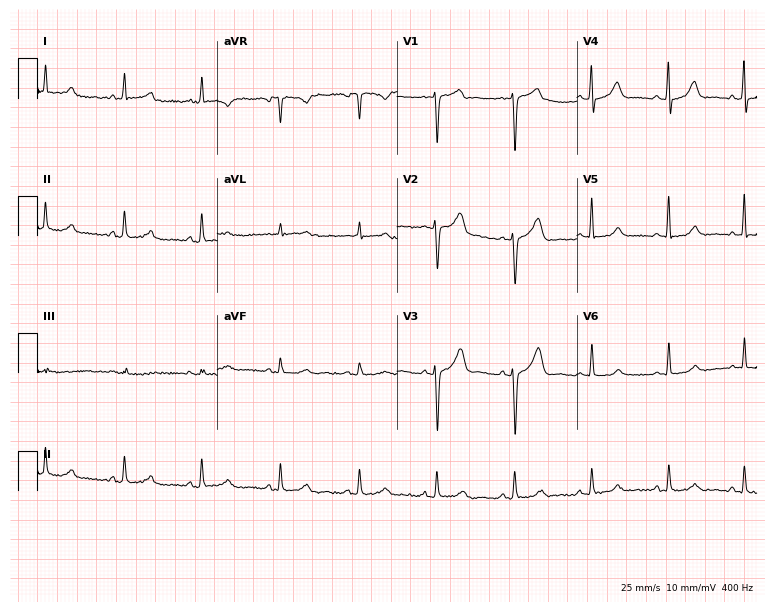
Standard 12-lead ECG recorded from a woman, 58 years old. None of these six findings is recorded: first-degree AV block, right bundle branch block, left bundle branch block, sinus bradycardia, atrial fibrillation, sinus tachycardia. Other findings, if any, are not listed.